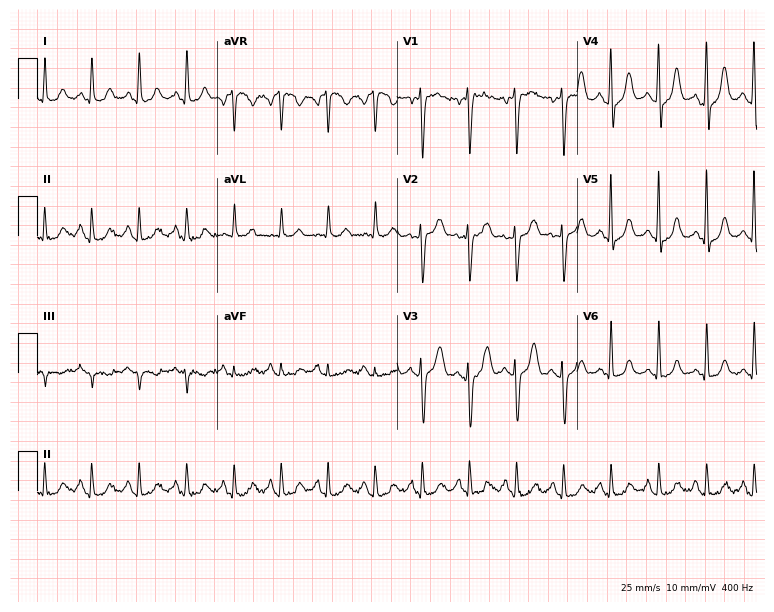
12-lead ECG (7.3-second recording at 400 Hz) from a female, 38 years old. Findings include sinus tachycardia (a sinus rate of 100 beats per minute or more).